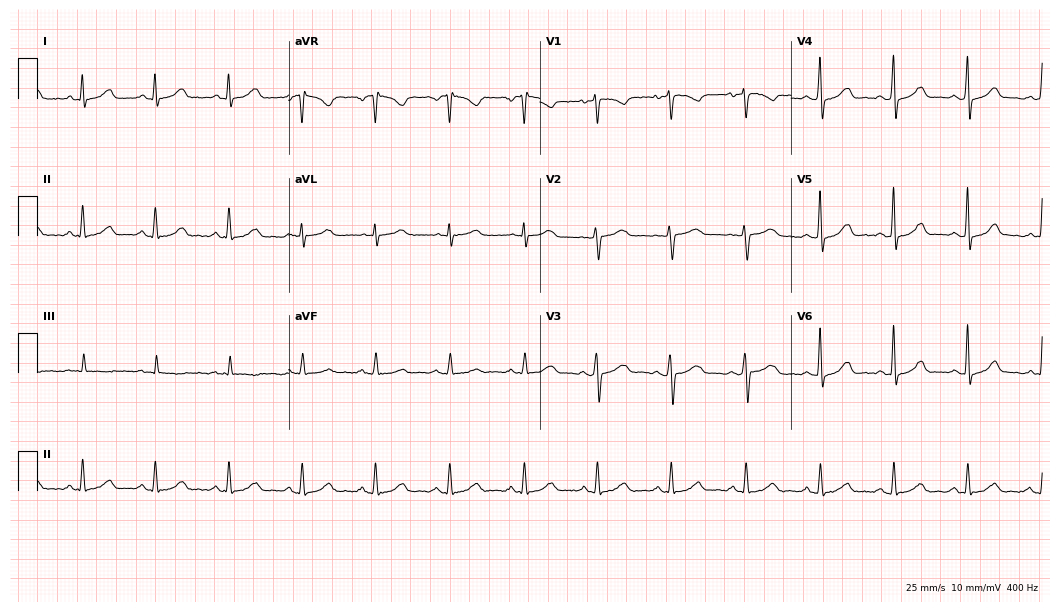
Standard 12-lead ECG recorded from a 40-year-old woman. Read as a normal ECG.